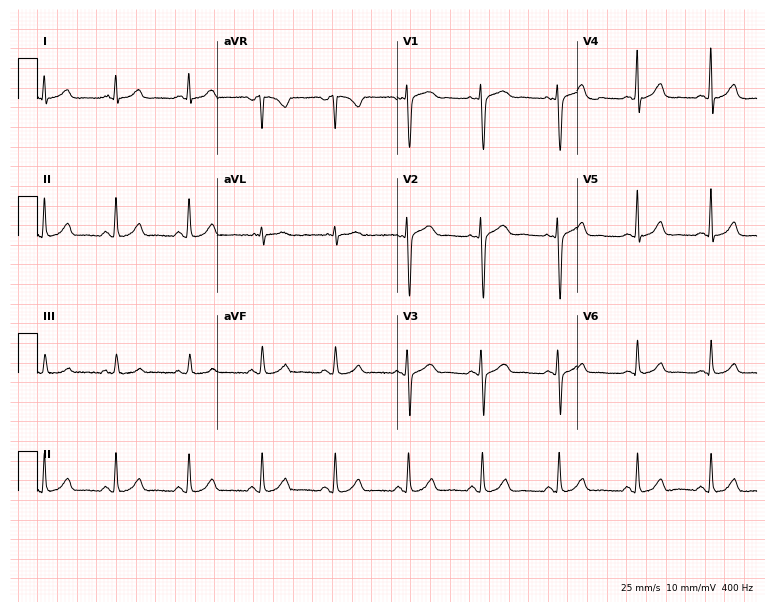
12-lead ECG from a female patient, 28 years old. Screened for six findings — first-degree AV block, right bundle branch block, left bundle branch block, sinus bradycardia, atrial fibrillation, sinus tachycardia — none is recorded. Only these six findings were labelled.